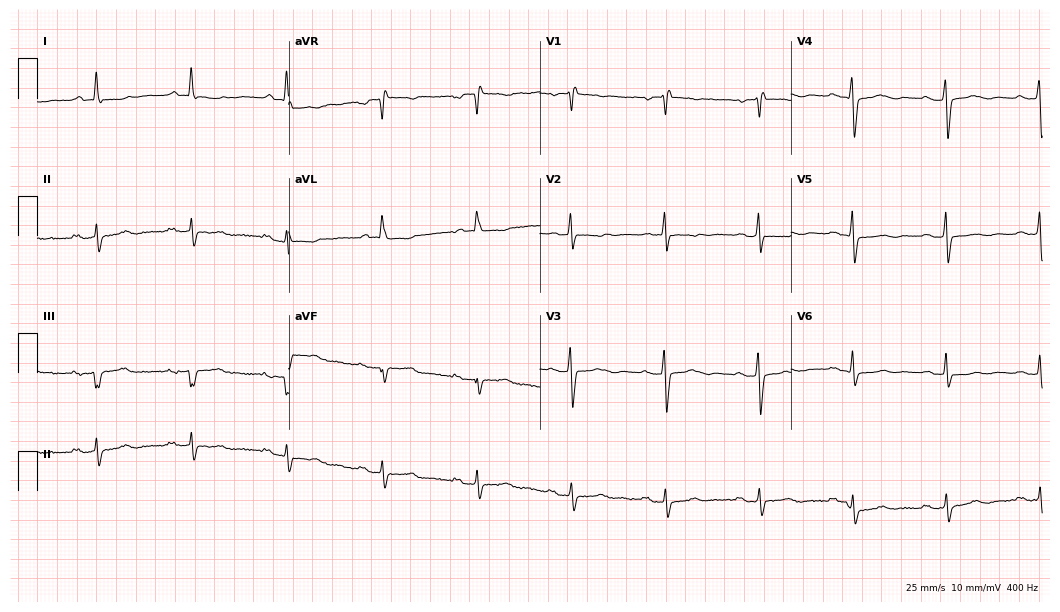
12-lead ECG from a female patient, 78 years old. Screened for six findings — first-degree AV block, right bundle branch block, left bundle branch block, sinus bradycardia, atrial fibrillation, sinus tachycardia — none is recorded.